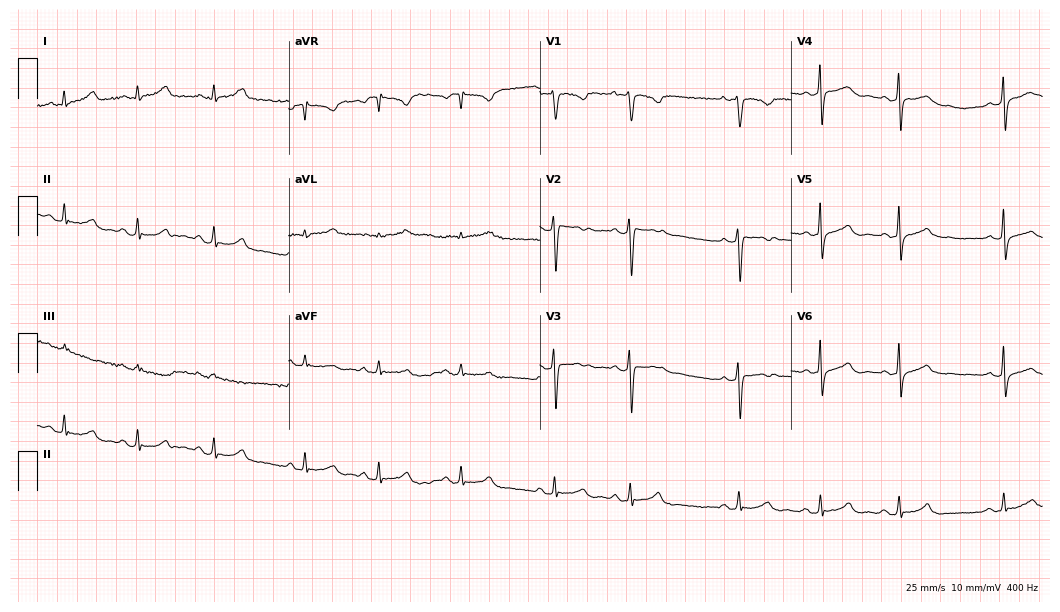
12-lead ECG from a 19-year-old woman (10.2-second recording at 400 Hz). No first-degree AV block, right bundle branch block, left bundle branch block, sinus bradycardia, atrial fibrillation or sinus tachycardia recorded for this tracing. Other findings, if any, are not listed.